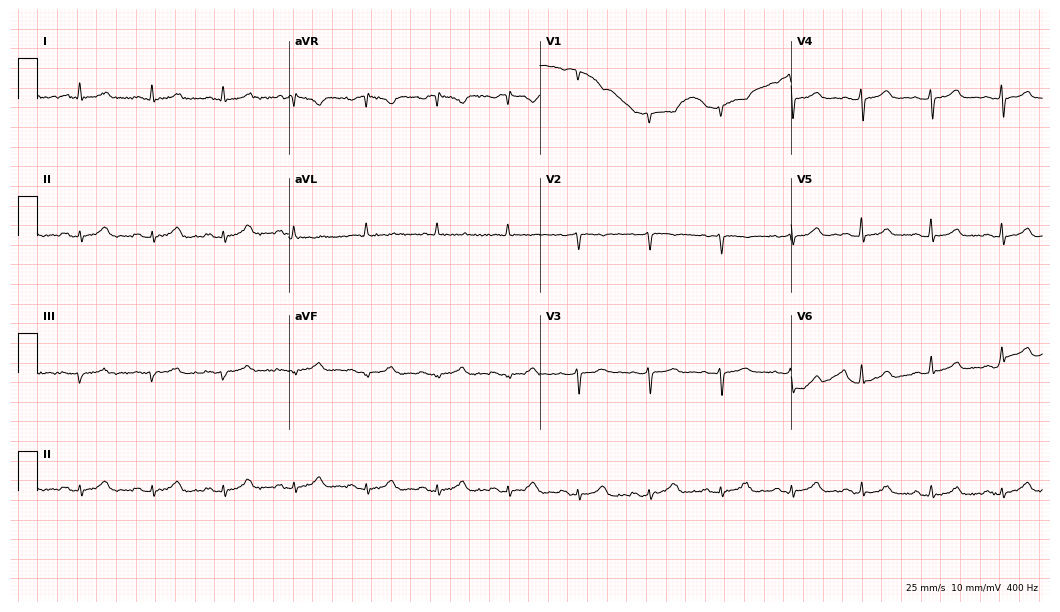
Standard 12-lead ECG recorded from a female patient, 51 years old. None of these six findings is recorded: first-degree AV block, right bundle branch block, left bundle branch block, sinus bradycardia, atrial fibrillation, sinus tachycardia.